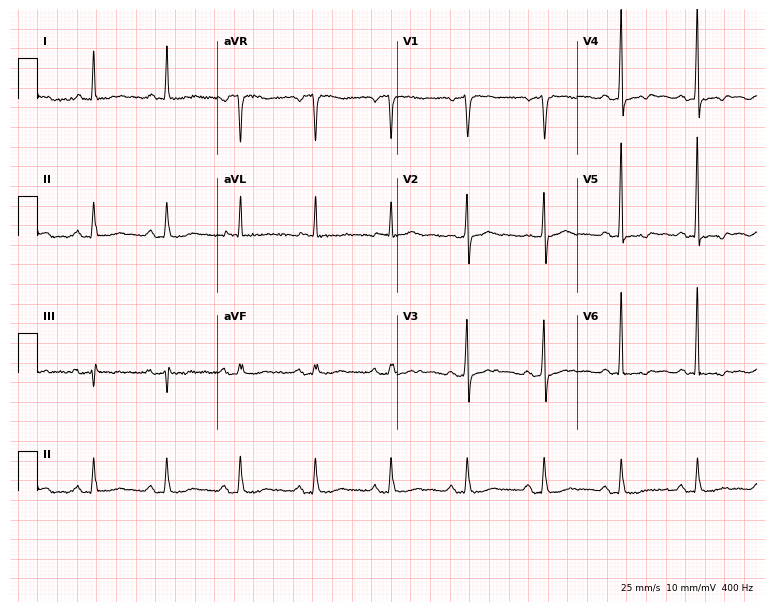
Standard 12-lead ECG recorded from a 77-year-old man (7.3-second recording at 400 Hz). None of these six findings is recorded: first-degree AV block, right bundle branch block, left bundle branch block, sinus bradycardia, atrial fibrillation, sinus tachycardia.